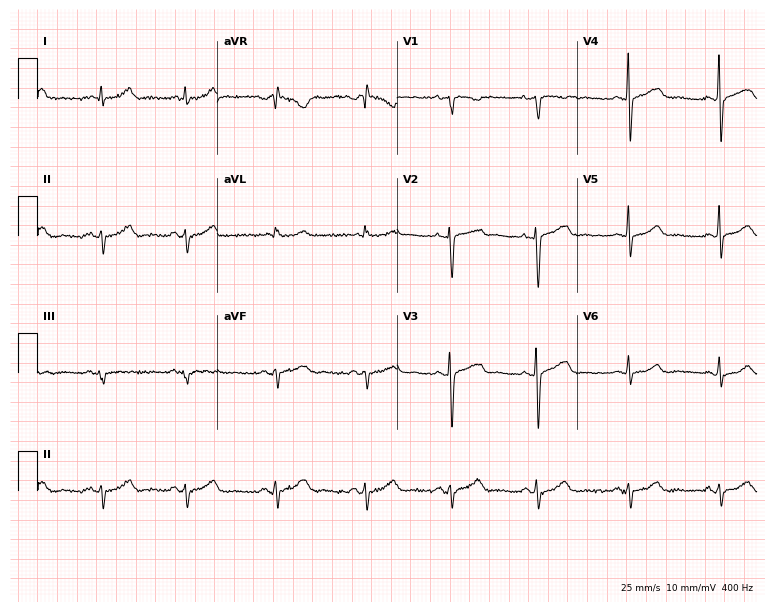
12-lead ECG (7.3-second recording at 400 Hz) from a 39-year-old female. Screened for six findings — first-degree AV block, right bundle branch block (RBBB), left bundle branch block (LBBB), sinus bradycardia, atrial fibrillation (AF), sinus tachycardia — none is recorded.